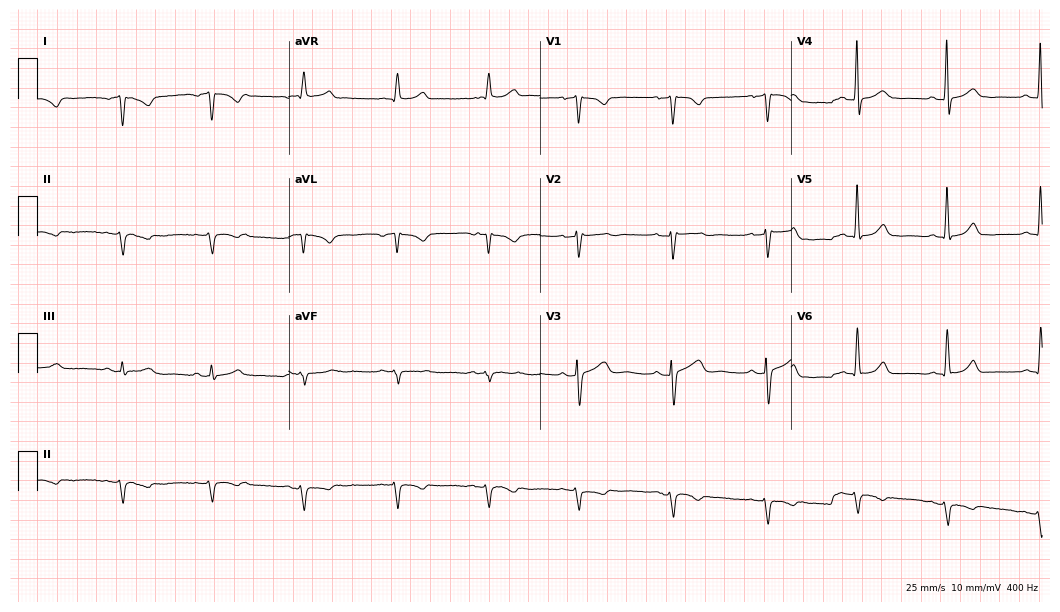
Standard 12-lead ECG recorded from a 73-year-old male. None of these six findings is recorded: first-degree AV block, right bundle branch block, left bundle branch block, sinus bradycardia, atrial fibrillation, sinus tachycardia. Only these six findings were labelled.